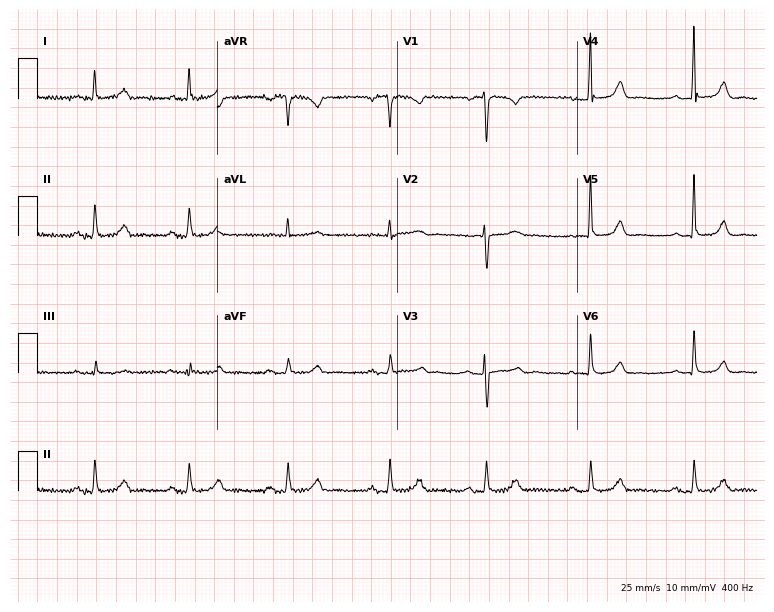
12-lead ECG (7.3-second recording at 400 Hz) from a 49-year-old woman. Screened for six findings — first-degree AV block, right bundle branch block, left bundle branch block, sinus bradycardia, atrial fibrillation, sinus tachycardia — none is recorded. Findings outside these six are not listed.